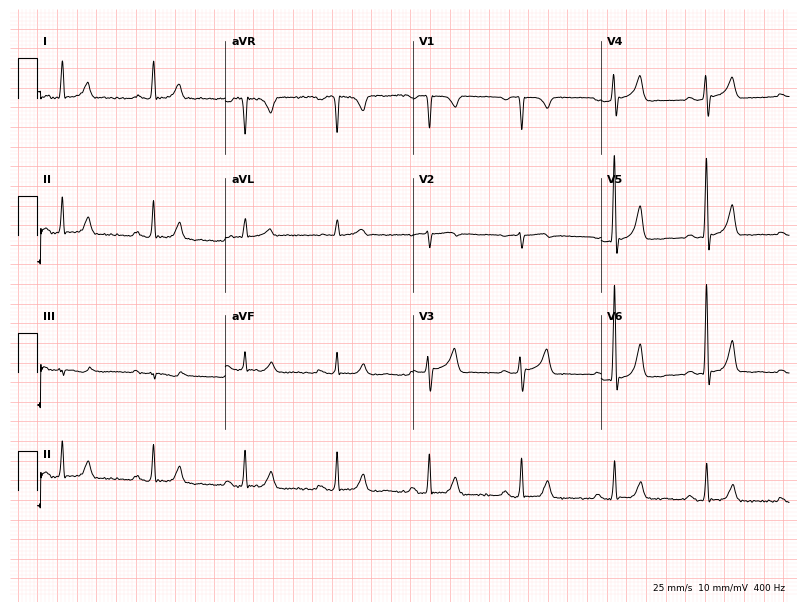
12-lead ECG (7.7-second recording at 400 Hz) from a 52-year-old man. Labelled as a normal ECG.